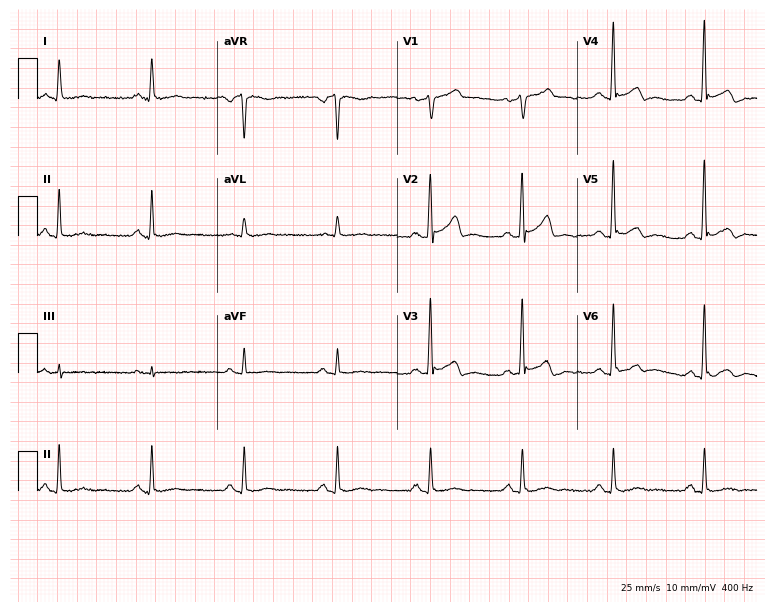
Standard 12-lead ECG recorded from a male patient, 65 years old (7.3-second recording at 400 Hz). None of these six findings is recorded: first-degree AV block, right bundle branch block, left bundle branch block, sinus bradycardia, atrial fibrillation, sinus tachycardia.